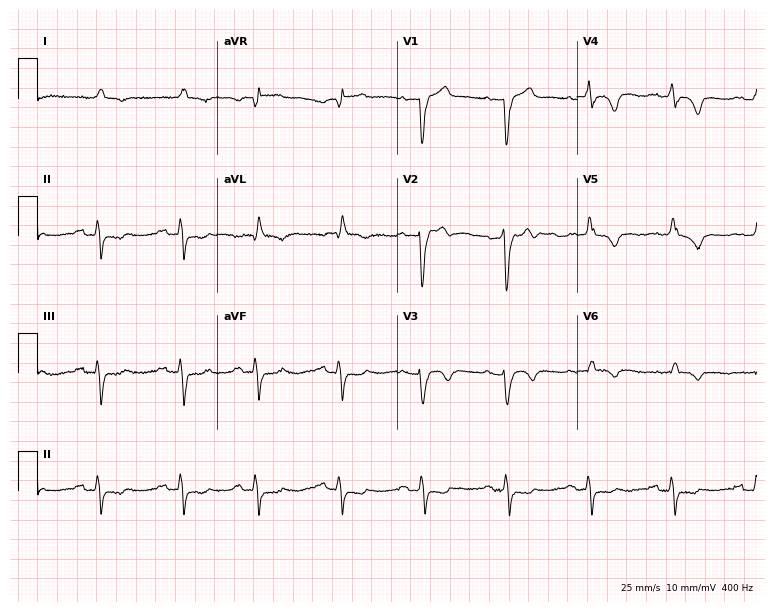
Resting 12-lead electrocardiogram. Patient: an 83-year-old male. None of these six findings is recorded: first-degree AV block, right bundle branch block (RBBB), left bundle branch block (LBBB), sinus bradycardia, atrial fibrillation (AF), sinus tachycardia.